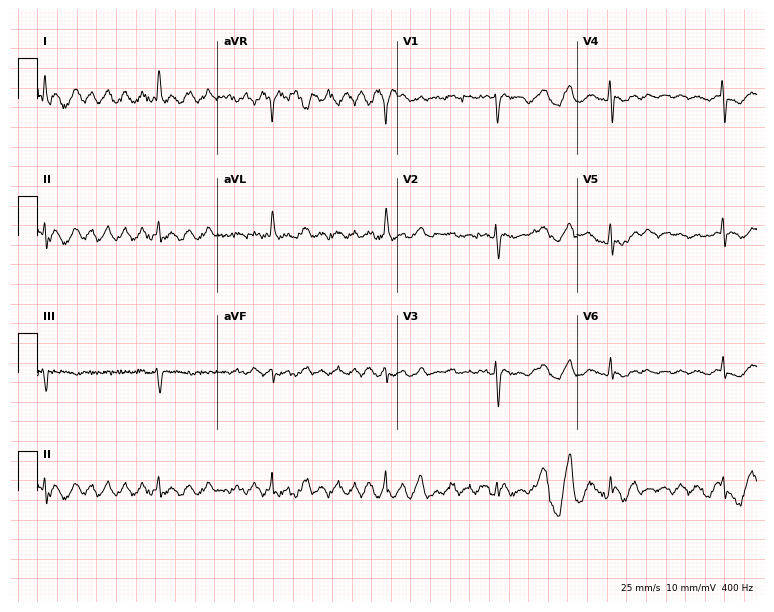
Resting 12-lead electrocardiogram. Patient: an 85-year-old female. None of these six findings is recorded: first-degree AV block, right bundle branch block, left bundle branch block, sinus bradycardia, atrial fibrillation, sinus tachycardia. Only these six findings were labelled.